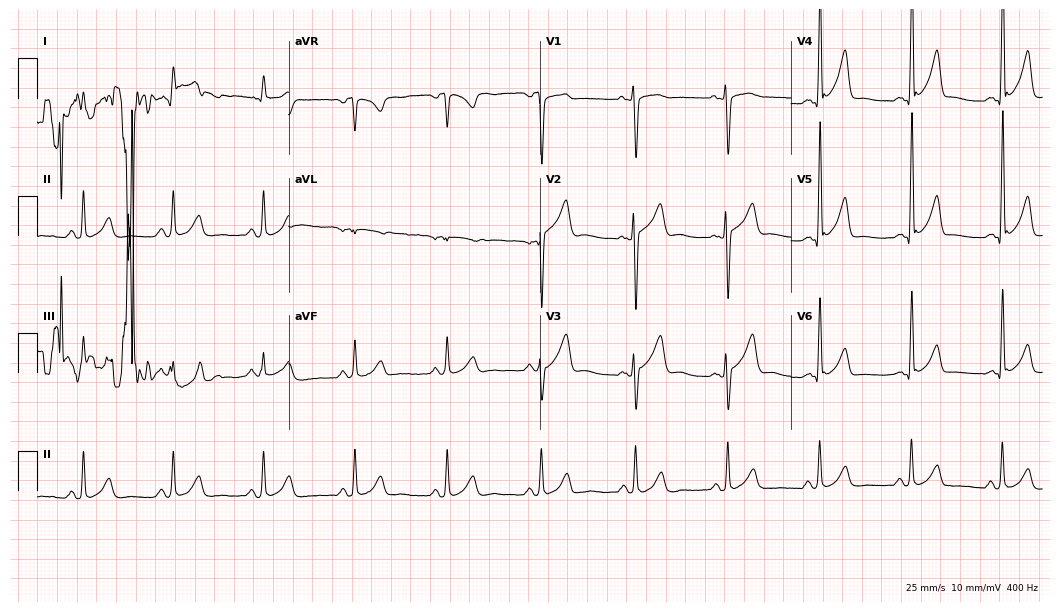
Resting 12-lead electrocardiogram (10.2-second recording at 400 Hz). Patient: a man, 28 years old. None of these six findings is recorded: first-degree AV block, right bundle branch block, left bundle branch block, sinus bradycardia, atrial fibrillation, sinus tachycardia.